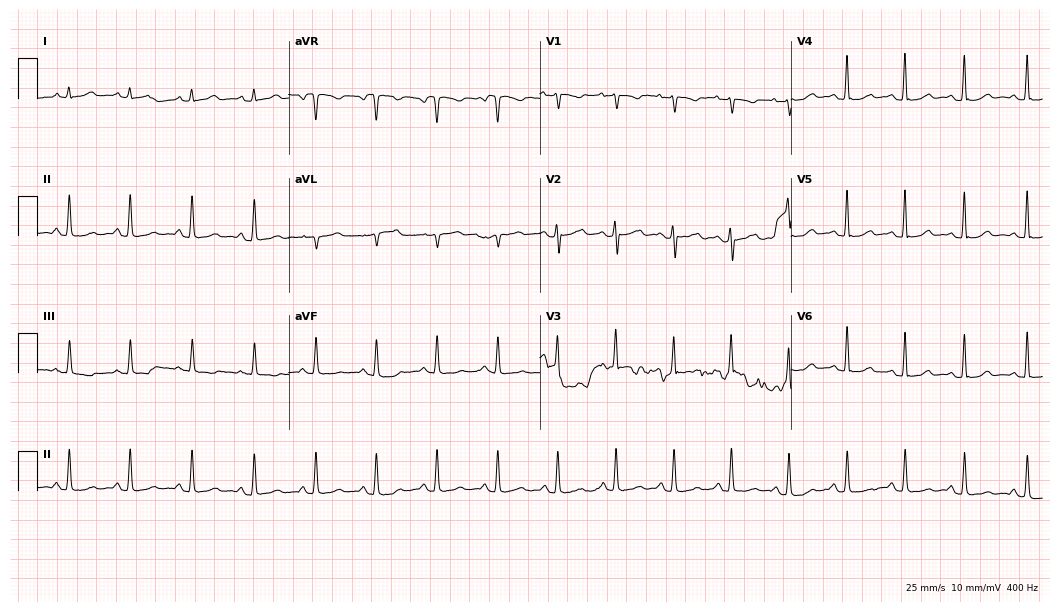
Resting 12-lead electrocardiogram. Patient: an 18-year-old woman. None of these six findings is recorded: first-degree AV block, right bundle branch block, left bundle branch block, sinus bradycardia, atrial fibrillation, sinus tachycardia. Other findings, if any, are not listed.